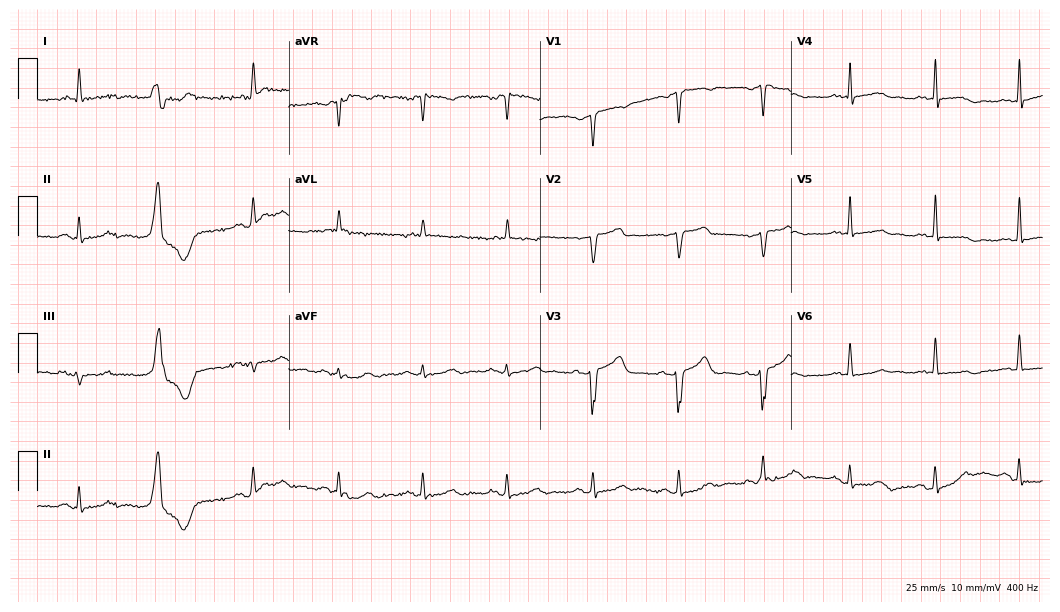
Resting 12-lead electrocardiogram. Patient: a male, 83 years old. None of these six findings is recorded: first-degree AV block, right bundle branch block, left bundle branch block, sinus bradycardia, atrial fibrillation, sinus tachycardia.